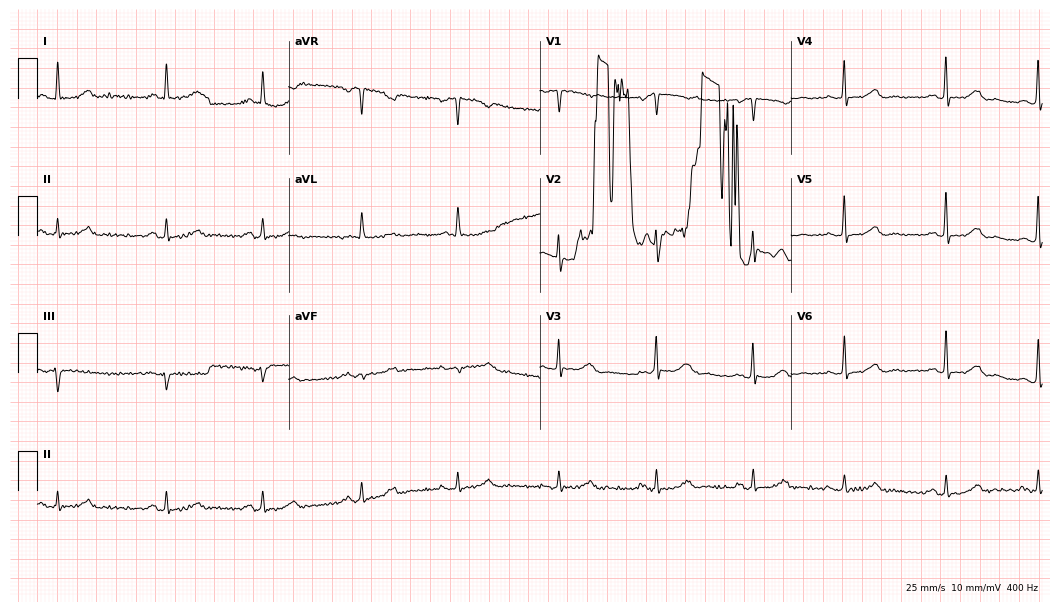
ECG (10.2-second recording at 400 Hz) — an 83-year-old female patient. Screened for six findings — first-degree AV block, right bundle branch block, left bundle branch block, sinus bradycardia, atrial fibrillation, sinus tachycardia — none is recorded. Only these six findings were labelled.